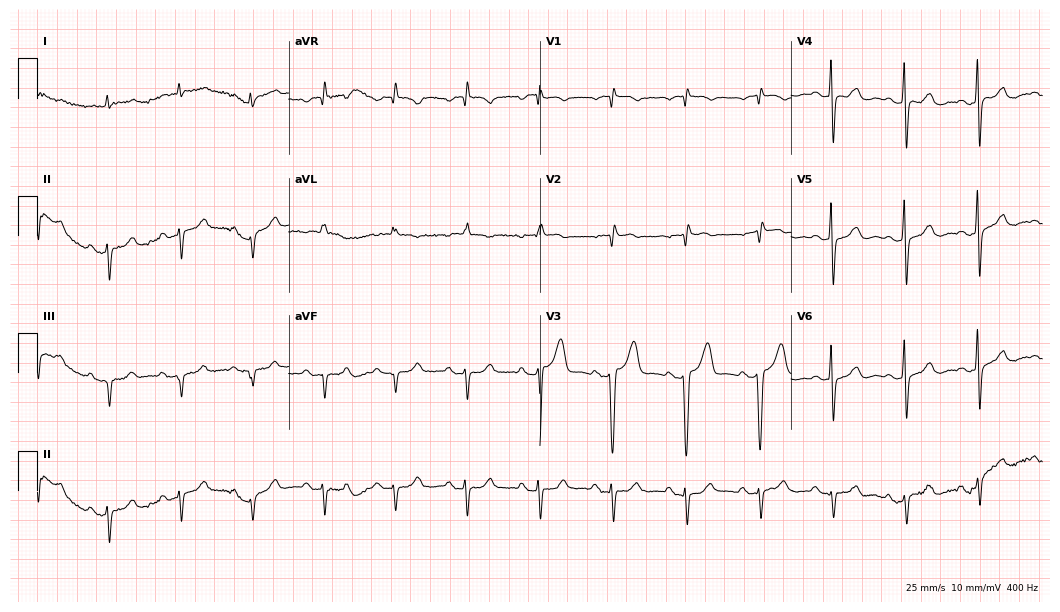
ECG — a 79-year-old female. Screened for six findings — first-degree AV block, right bundle branch block, left bundle branch block, sinus bradycardia, atrial fibrillation, sinus tachycardia — none is recorded.